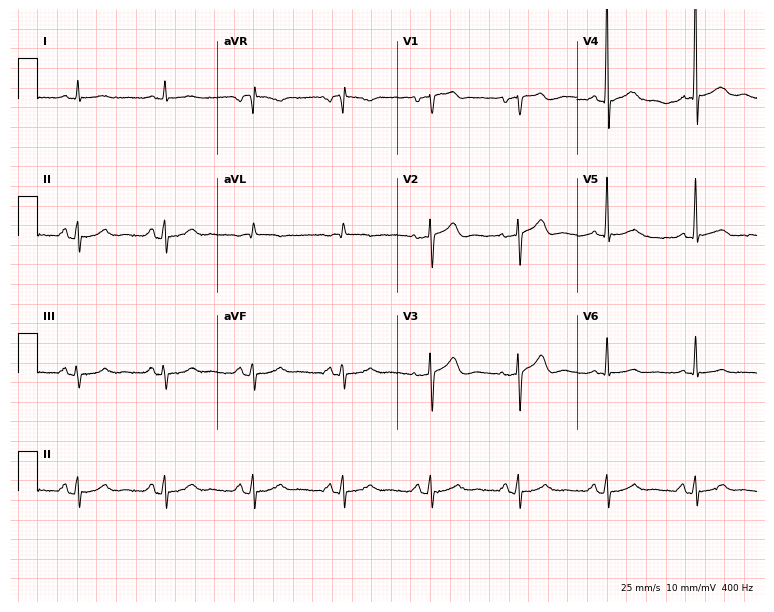
ECG (7.3-second recording at 400 Hz) — a male, 59 years old. Labelled as a normal ECG.